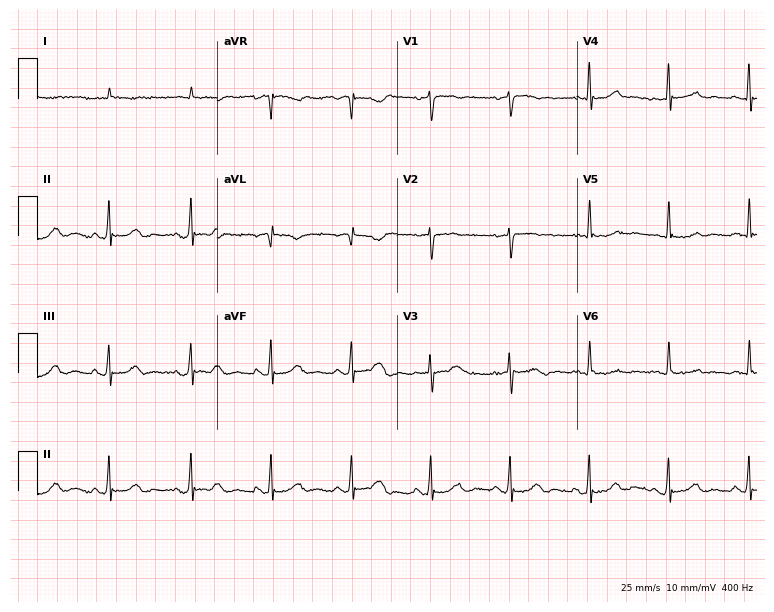
Resting 12-lead electrocardiogram. Patient: a man, 86 years old. None of these six findings is recorded: first-degree AV block, right bundle branch block, left bundle branch block, sinus bradycardia, atrial fibrillation, sinus tachycardia. Only these six findings were labelled.